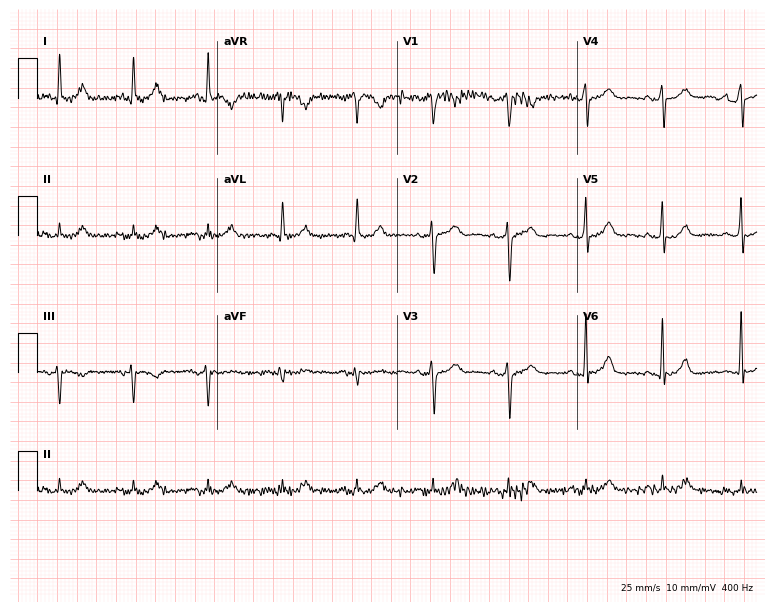
Standard 12-lead ECG recorded from a 76-year-old male patient (7.3-second recording at 400 Hz). None of these six findings is recorded: first-degree AV block, right bundle branch block, left bundle branch block, sinus bradycardia, atrial fibrillation, sinus tachycardia.